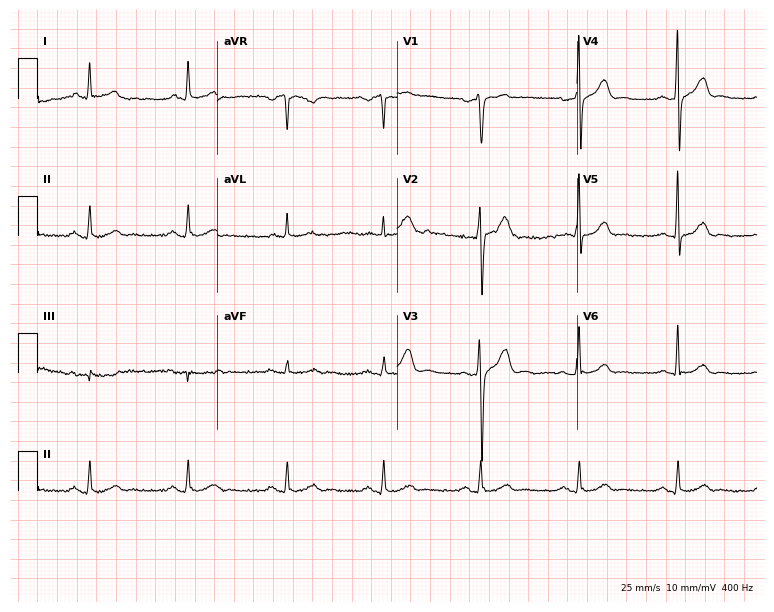
12-lead ECG from a 59-year-old male. Recorded interpretation: within normal limits.